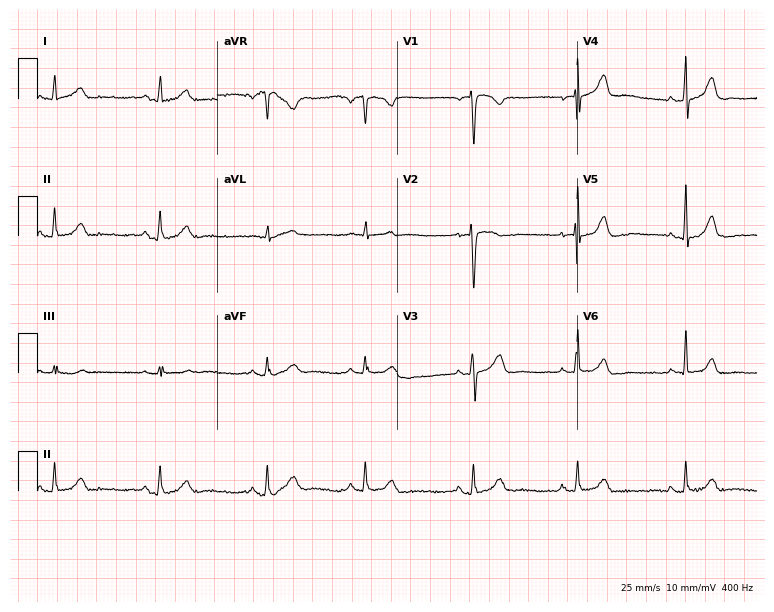
Resting 12-lead electrocardiogram. Patient: a 42-year-old female. None of these six findings is recorded: first-degree AV block, right bundle branch block, left bundle branch block, sinus bradycardia, atrial fibrillation, sinus tachycardia.